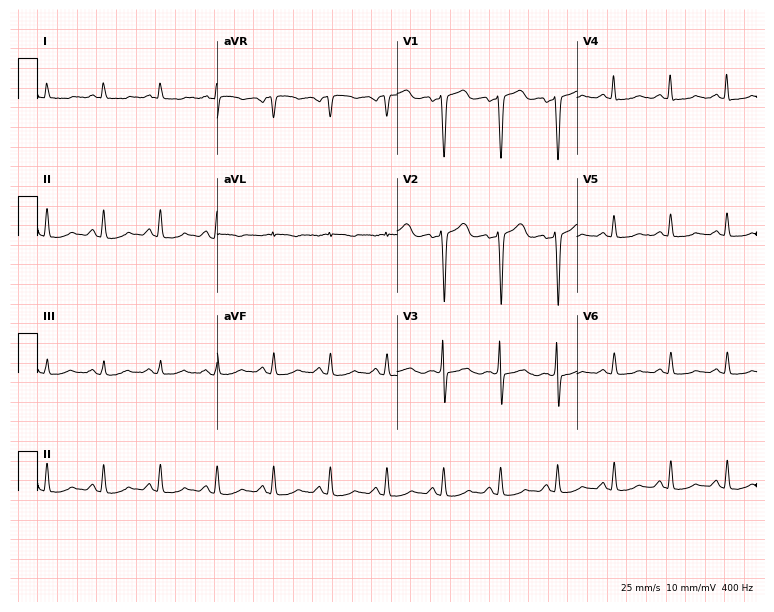
Standard 12-lead ECG recorded from a woman, 54 years old. The tracing shows sinus tachycardia (a sinus rate of 100 beats per minute or more).